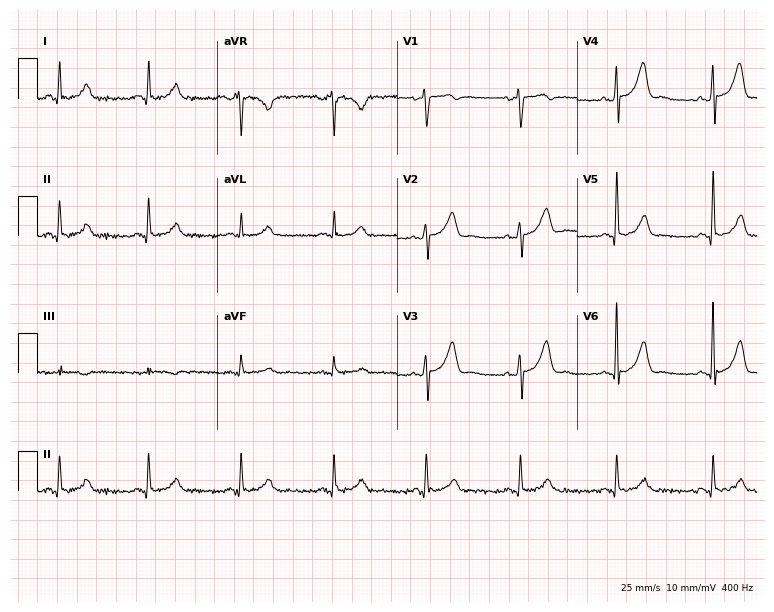
Resting 12-lead electrocardiogram (7.3-second recording at 400 Hz). Patient: a 48-year-old female. Read as a normal ECG.